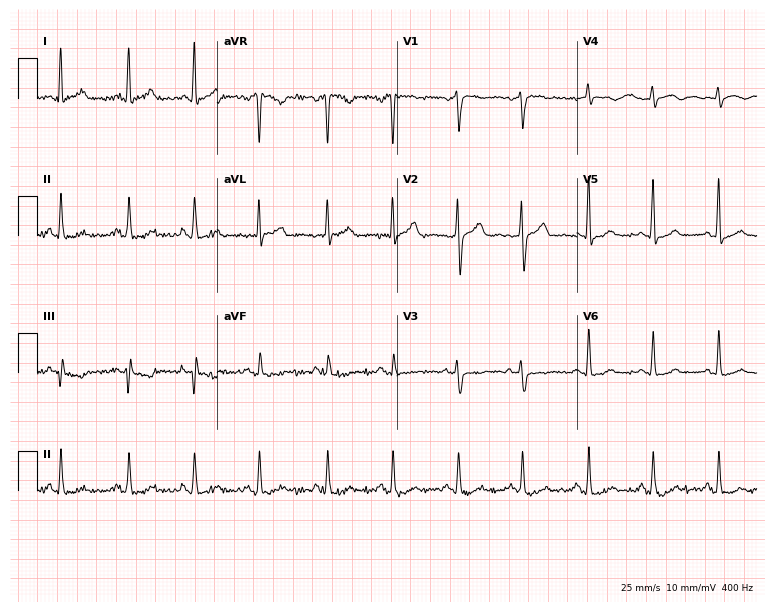
Resting 12-lead electrocardiogram (7.3-second recording at 400 Hz). Patient: a 47-year-old female. Read as a normal ECG.